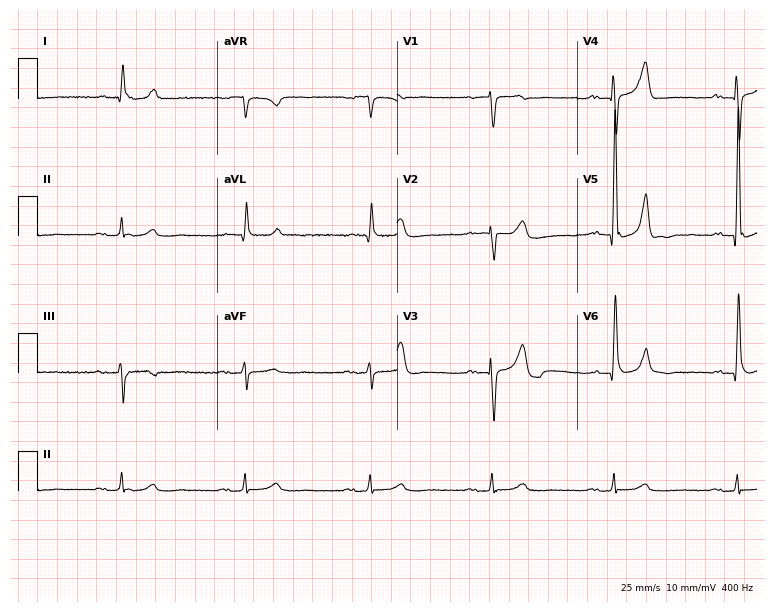
Resting 12-lead electrocardiogram (7.3-second recording at 400 Hz). Patient: an 81-year-old male. The tracing shows first-degree AV block.